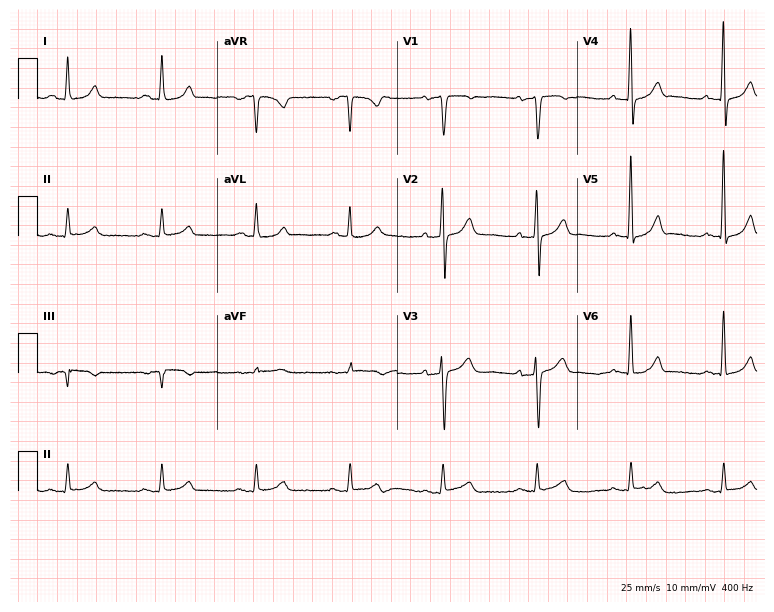
Resting 12-lead electrocardiogram (7.3-second recording at 400 Hz). Patient: a 48-year-old man. Read as a normal ECG.